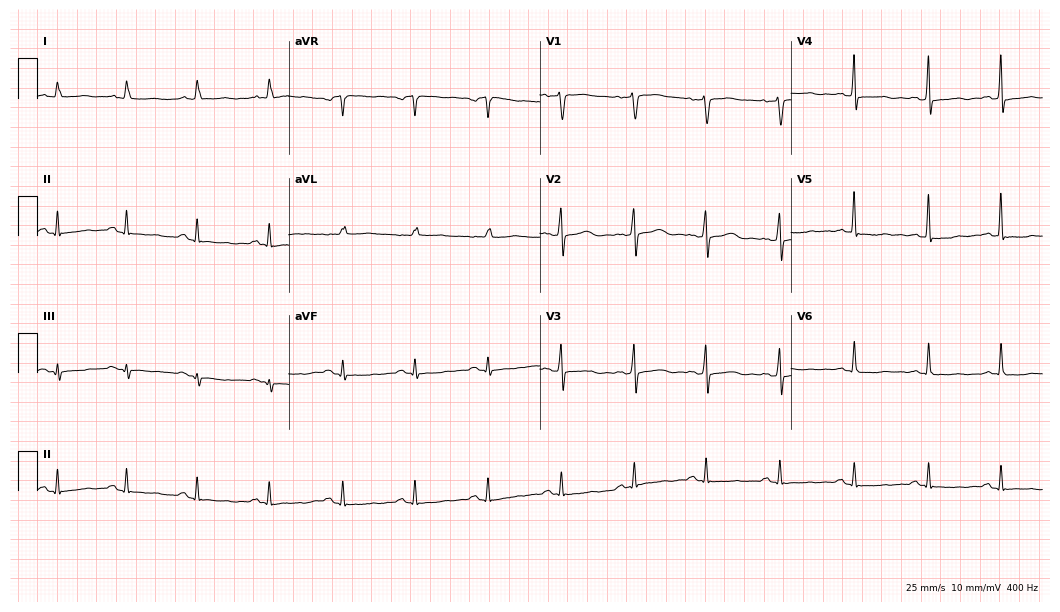
Electrocardiogram, a 53-year-old male patient. Of the six screened findings (first-degree AV block, right bundle branch block, left bundle branch block, sinus bradycardia, atrial fibrillation, sinus tachycardia), none is recorded.